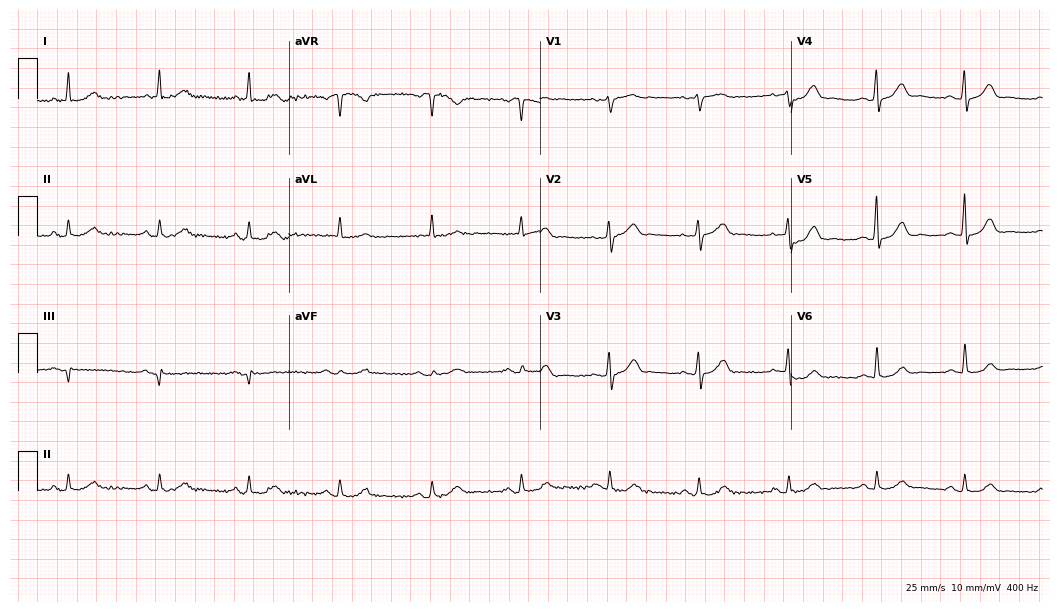
Resting 12-lead electrocardiogram (10.2-second recording at 400 Hz). Patient: a male, 71 years old. None of these six findings is recorded: first-degree AV block, right bundle branch block (RBBB), left bundle branch block (LBBB), sinus bradycardia, atrial fibrillation (AF), sinus tachycardia. Other findings, if any, are not listed.